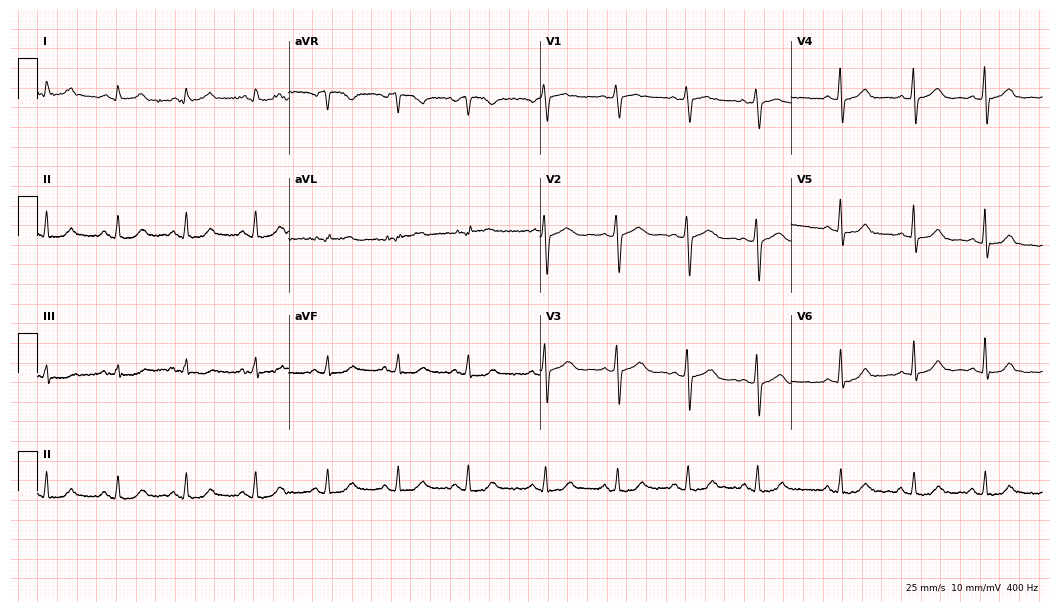
Standard 12-lead ECG recorded from a female, 64 years old. None of these six findings is recorded: first-degree AV block, right bundle branch block, left bundle branch block, sinus bradycardia, atrial fibrillation, sinus tachycardia.